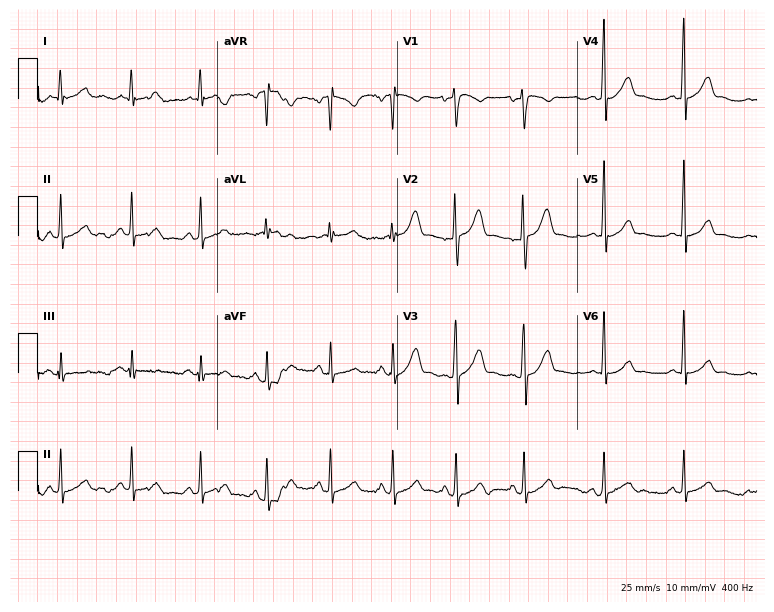
12-lead ECG from a 33-year-old male. Labelled as a normal ECG.